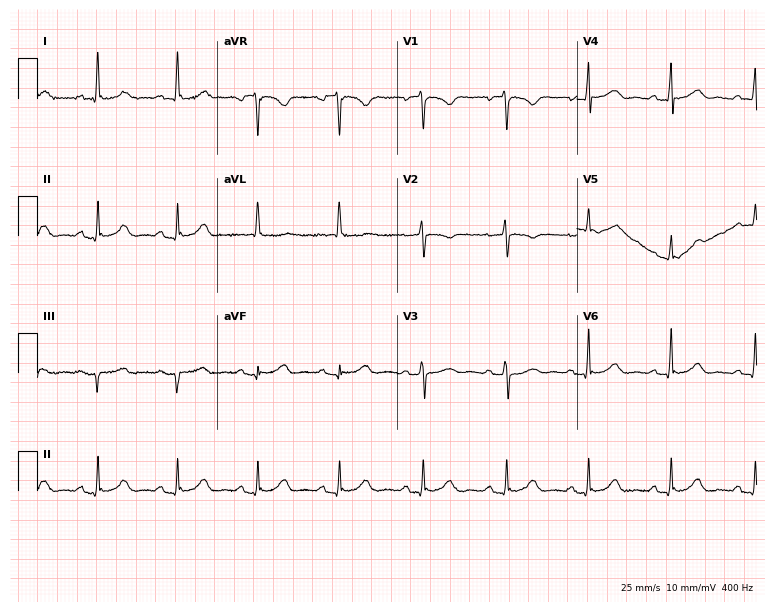
Standard 12-lead ECG recorded from a 70-year-old female patient (7.3-second recording at 400 Hz). Read as a normal ECG.